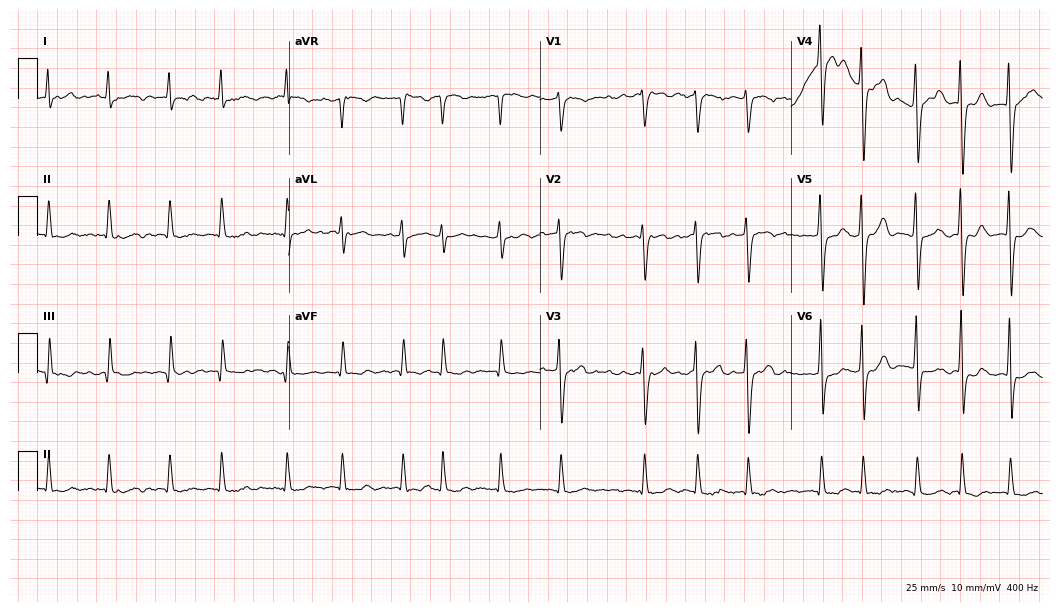
12-lead ECG from a man, 76 years old (10.2-second recording at 400 Hz). No first-degree AV block, right bundle branch block, left bundle branch block, sinus bradycardia, atrial fibrillation or sinus tachycardia recorded for this tracing. Other findings, if any, are not listed.